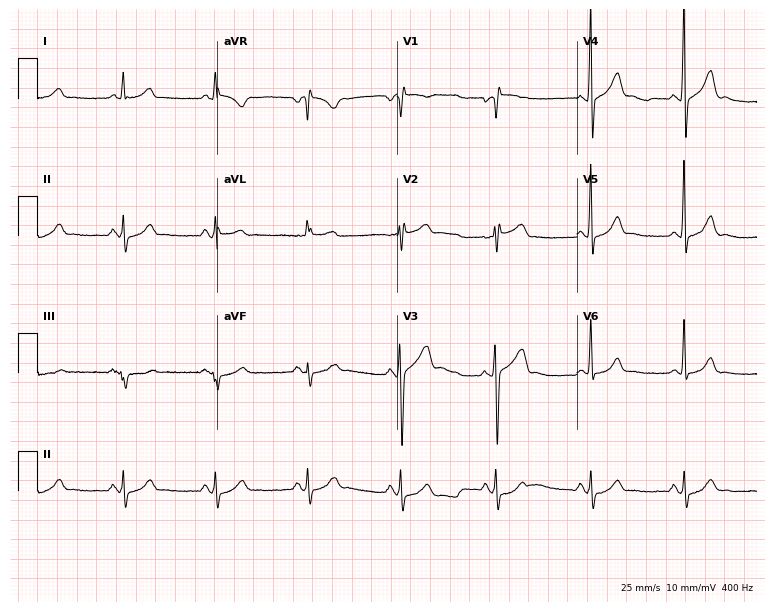
Standard 12-lead ECG recorded from a 65-year-old man. None of these six findings is recorded: first-degree AV block, right bundle branch block (RBBB), left bundle branch block (LBBB), sinus bradycardia, atrial fibrillation (AF), sinus tachycardia. Only these six findings were labelled.